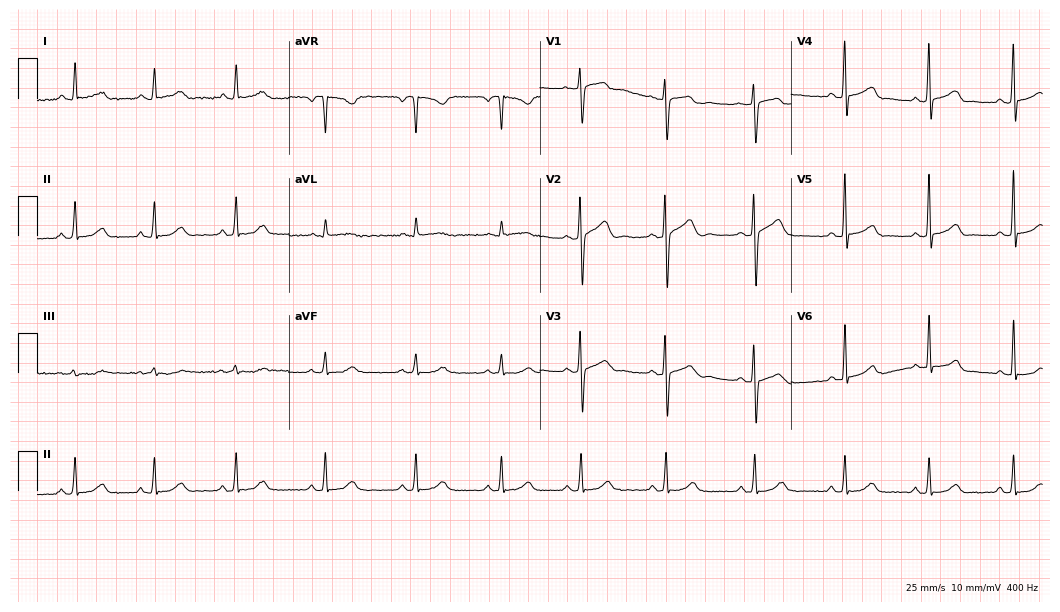
12-lead ECG from a woman, 28 years old (10.2-second recording at 400 Hz). Recorded interpretation: within normal limits.